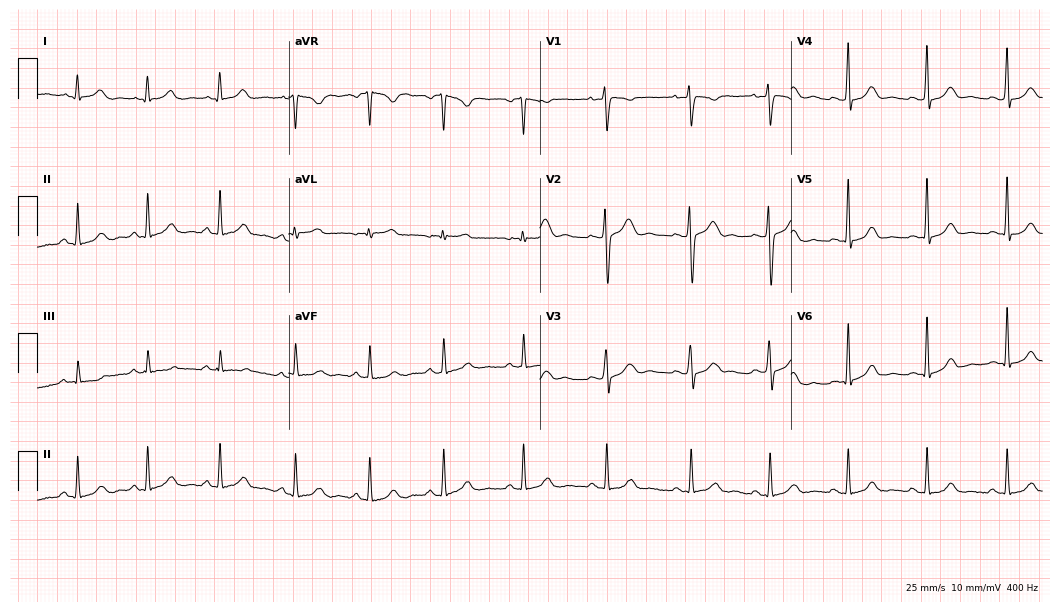
Standard 12-lead ECG recorded from a 28-year-old woman (10.2-second recording at 400 Hz). None of these six findings is recorded: first-degree AV block, right bundle branch block, left bundle branch block, sinus bradycardia, atrial fibrillation, sinus tachycardia. Other findings, if any, are not listed.